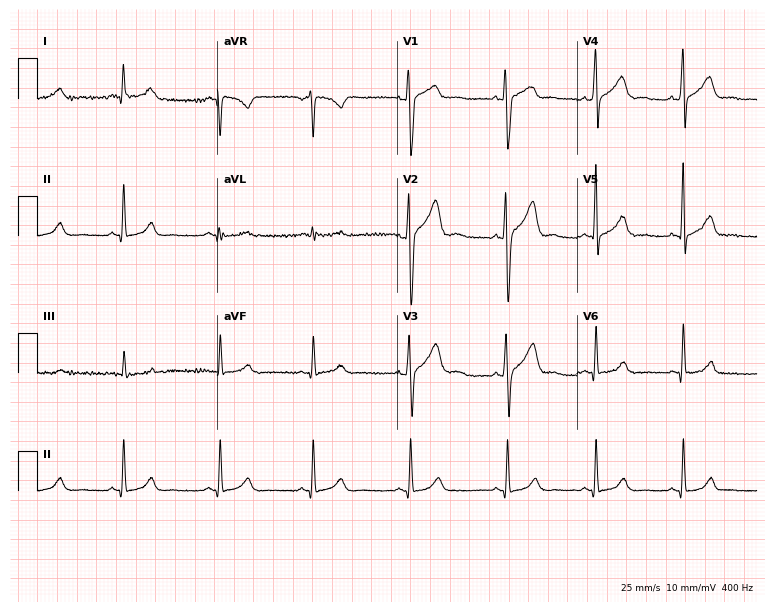
Electrocardiogram, a man, 28 years old. Overall reading on record: normal ECG.